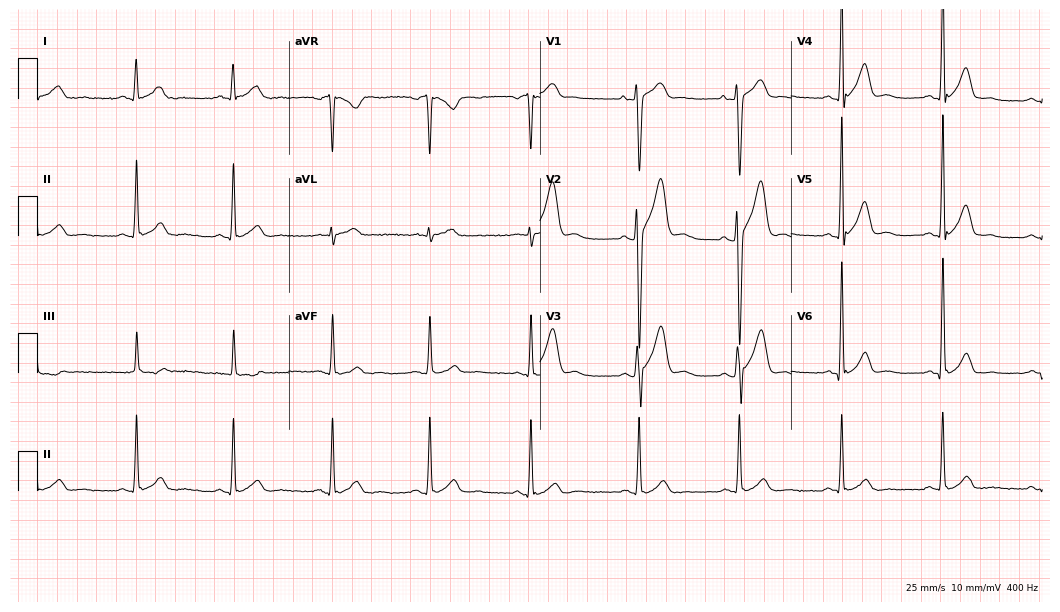
12-lead ECG (10.2-second recording at 400 Hz) from a man, 27 years old. Labelled as a normal ECG.